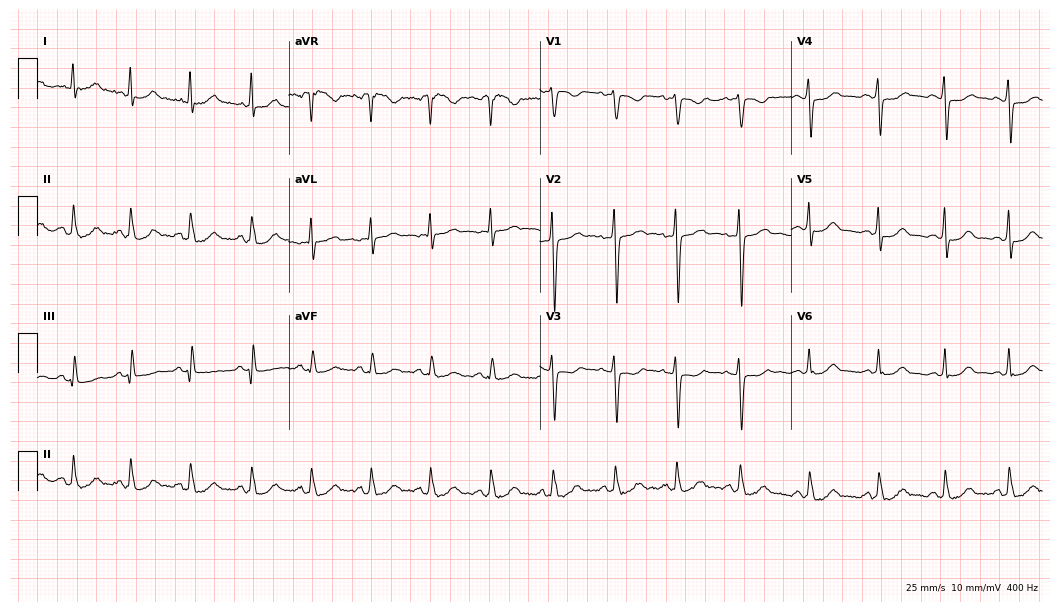
Electrocardiogram, a man, 32 years old. Of the six screened findings (first-degree AV block, right bundle branch block (RBBB), left bundle branch block (LBBB), sinus bradycardia, atrial fibrillation (AF), sinus tachycardia), none is recorded. Other findings, if any, are not listed.